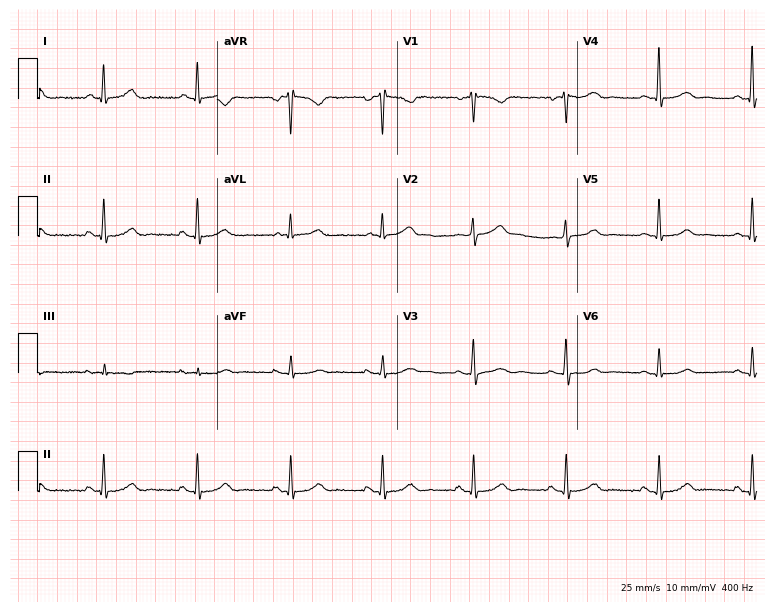
Resting 12-lead electrocardiogram (7.3-second recording at 400 Hz). Patient: a woman, 68 years old. Read as a normal ECG.